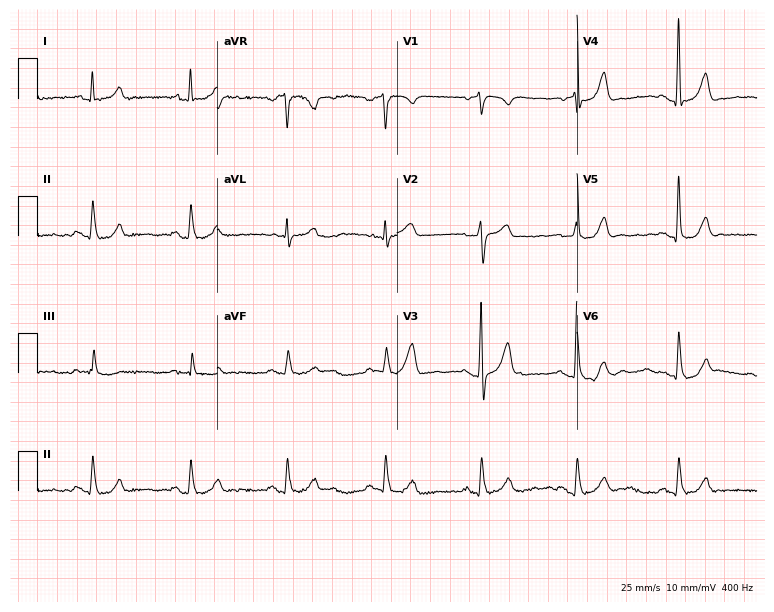
Standard 12-lead ECG recorded from a man, 53 years old. Read as a normal ECG.